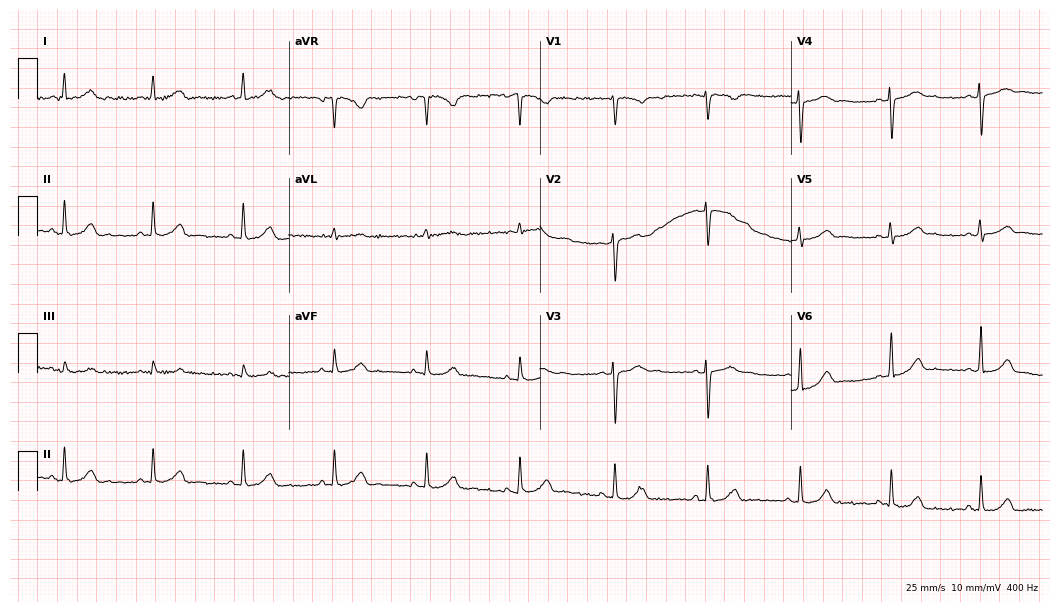
ECG — a 29-year-old female. Labelled as a normal ECG.